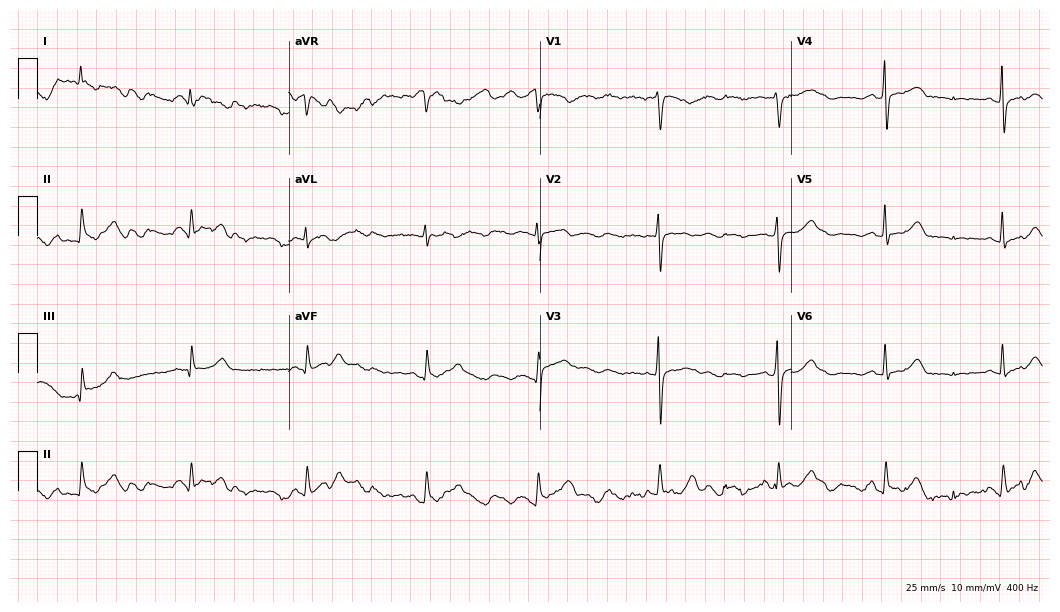
12-lead ECG (10.2-second recording at 400 Hz) from a woman, 39 years old. Screened for six findings — first-degree AV block, right bundle branch block, left bundle branch block, sinus bradycardia, atrial fibrillation, sinus tachycardia — none is recorded. Findings outside these six are not listed.